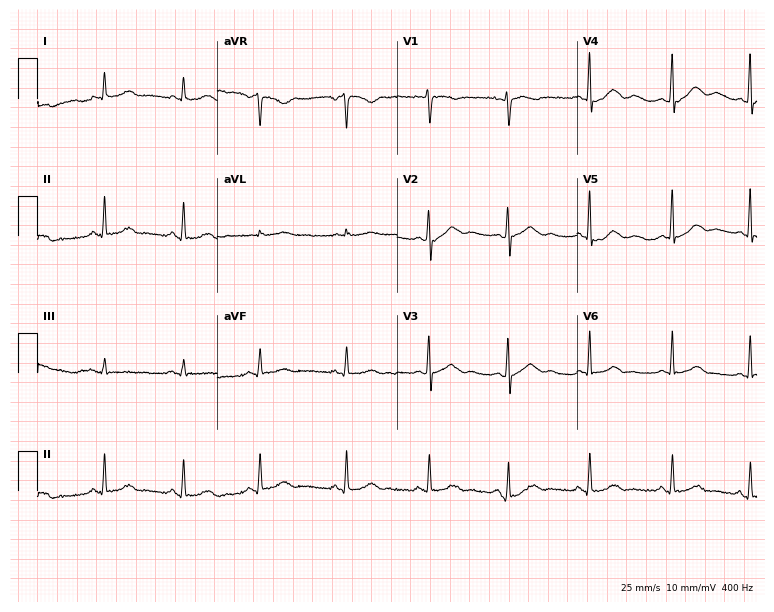
12-lead ECG from a 24-year-old woman. Labelled as a normal ECG.